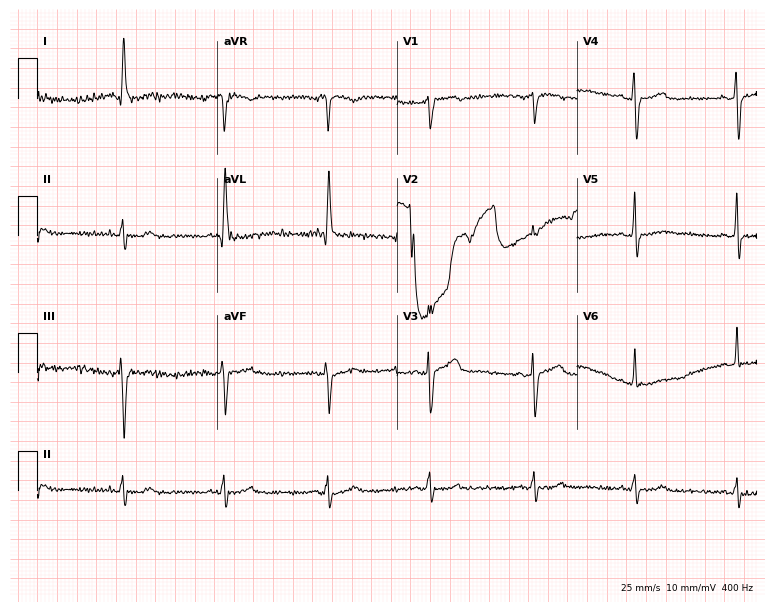
Resting 12-lead electrocardiogram. Patient: a female, 61 years old. None of these six findings is recorded: first-degree AV block, right bundle branch block, left bundle branch block, sinus bradycardia, atrial fibrillation, sinus tachycardia. Findings outside these six are not listed.